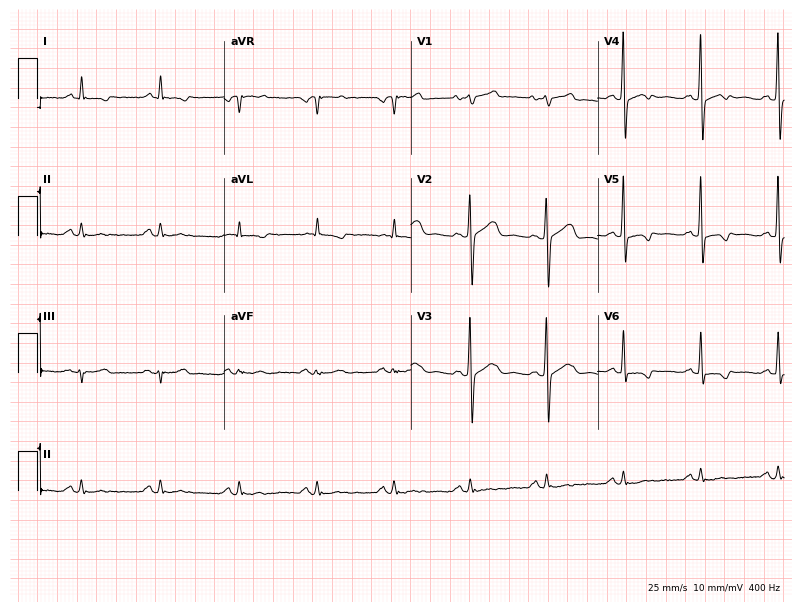
12-lead ECG from a 53-year-old man. No first-degree AV block, right bundle branch block, left bundle branch block, sinus bradycardia, atrial fibrillation or sinus tachycardia recorded for this tracing. Findings outside these six are not listed.